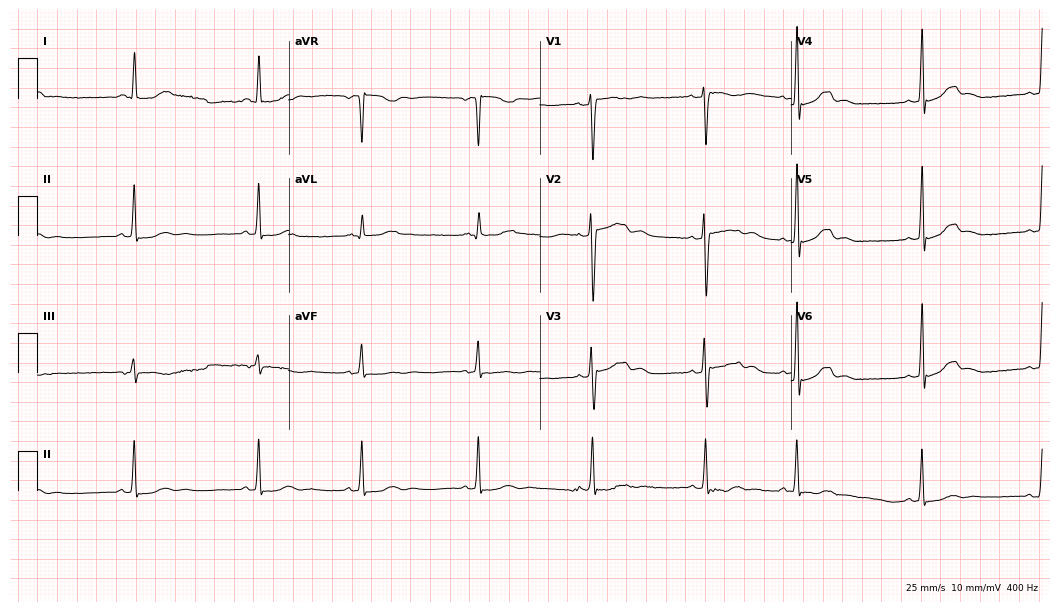
Electrocardiogram, a female patient, 21 years old. Of the six screened findings (first-degree AV block, right bundle branch block (RBBB), left bundle branch block (LBBB), sinus bradycardia, atrial fibrillation (AF), sinus tachycardia), none is recorded. Only these six findings were labelled.